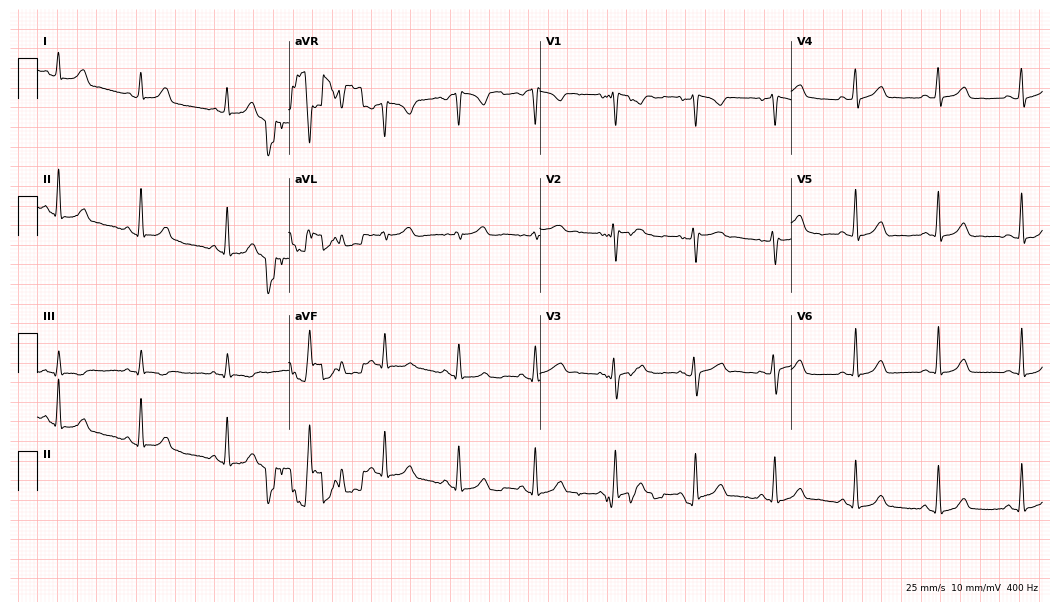
Resting 12-lead electrocardiogram. Patient: a woman, 31 years old. Read as a normal ECG.